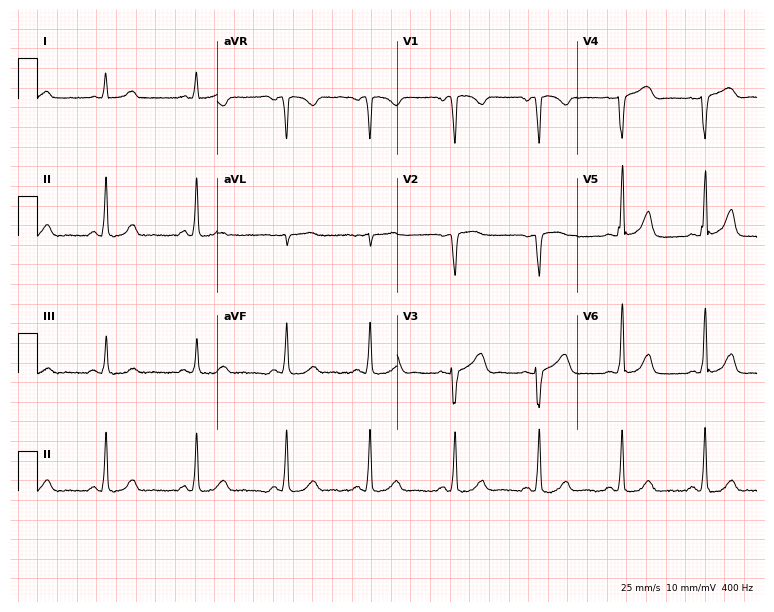
Resting 12-lead electrocardiogram (7.3-second recording at 400 Hz). Patient: a 30-year-old female. None of these six findings is recorded: first-degree AV block, right bundle branch block (RBBB), left bundle branch block (LBBB), sinus bradycardia, atrial fibrillation (AF), sinus tachycardia.